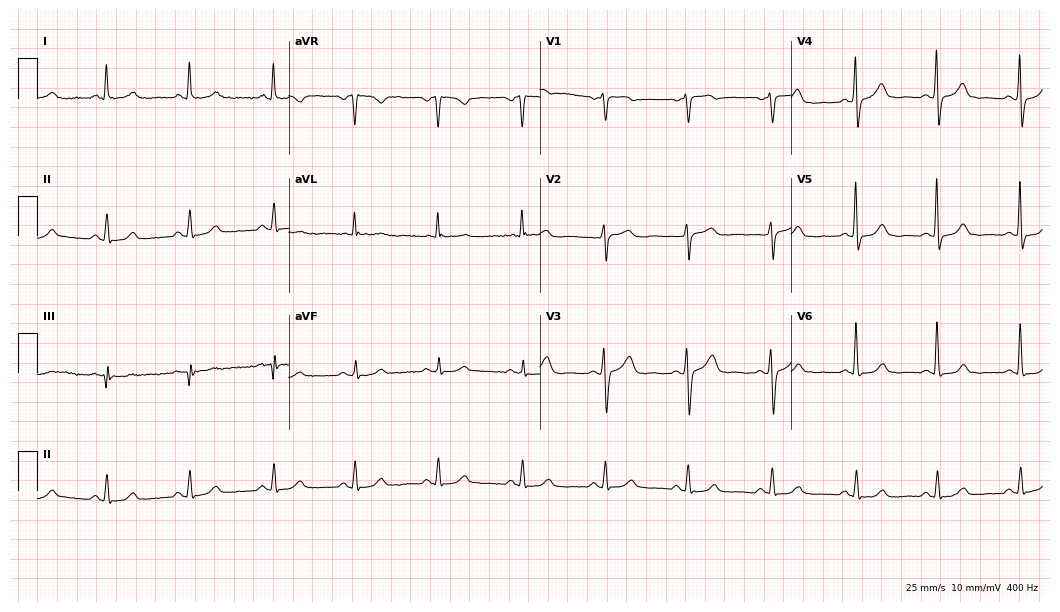
12-lead ECG from a female, 51 years old (10.2-second recording at 400 Hz). Recorded interpretation: within normal limits.